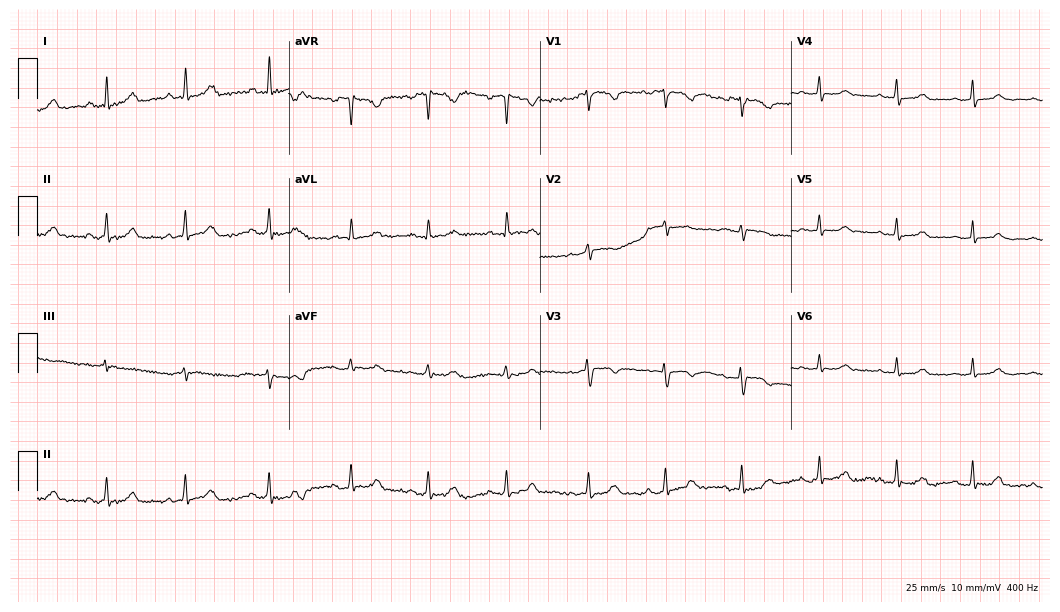
Electrocardiogram (10.2-second recording at 400 Hz), a 26-year-old female. Of the six screened findings (first-degree AV block, right bundle branch block, left bundle branch block, sinus bradycardia, atrial fibrillation, sinus tachycardia), none is recorded.